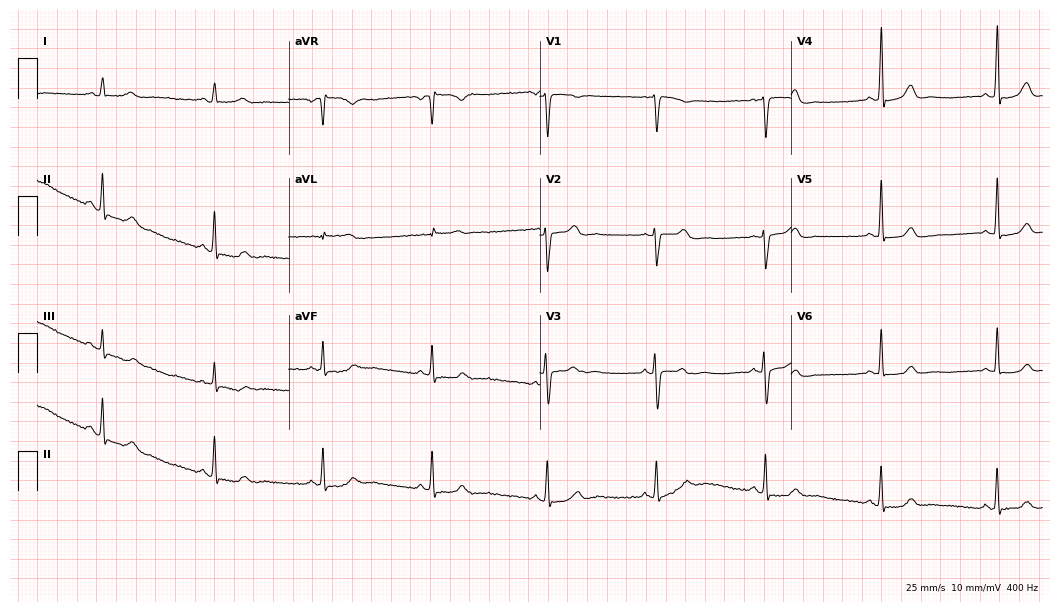
12-lead ECG from a female patient, 24 years old. Labelled as a normal ECG.